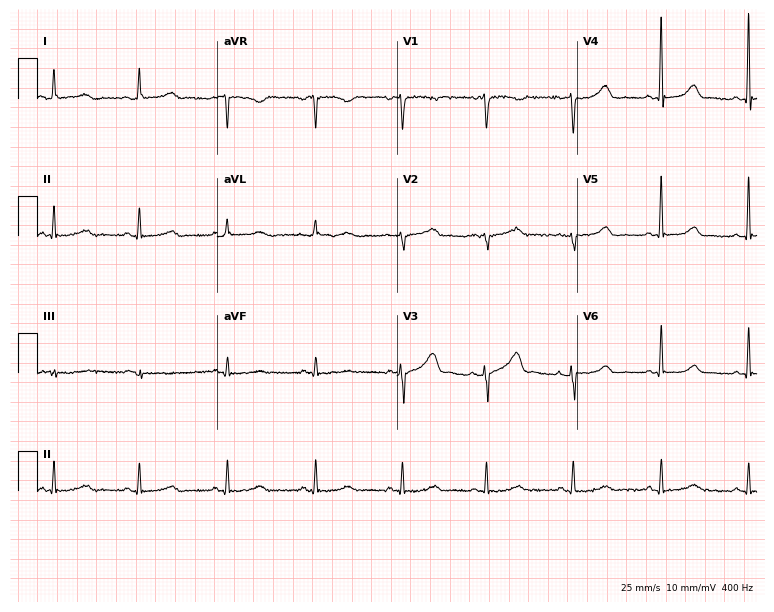
Standard 12-lead ECG recorded from a 35-year-old female. Read as a normal ECG.